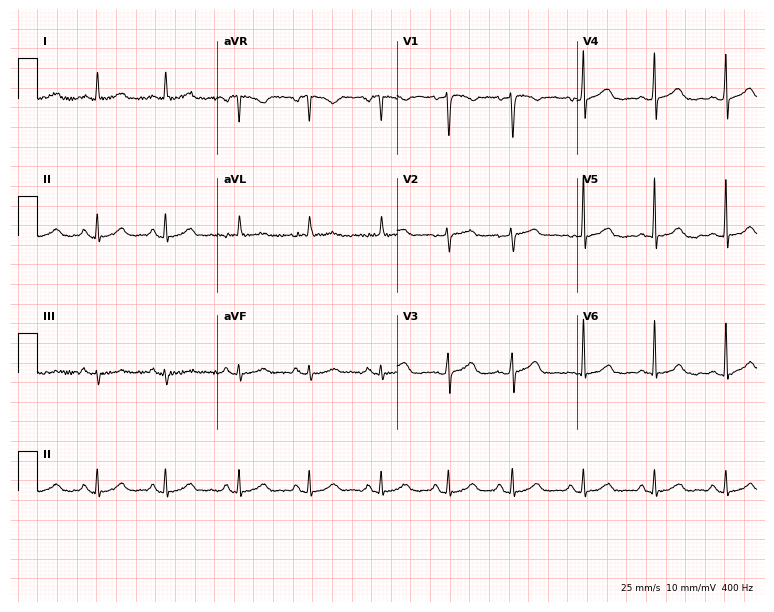
Resting 12-lead electrocardiogram. Patient: a female, 51 years old. None of these six findings is recorded: first-degree AV block, right bundle branch block, left bundle branch block, sinus bradycardia, atrial fibrillation, sinus tachycardia.